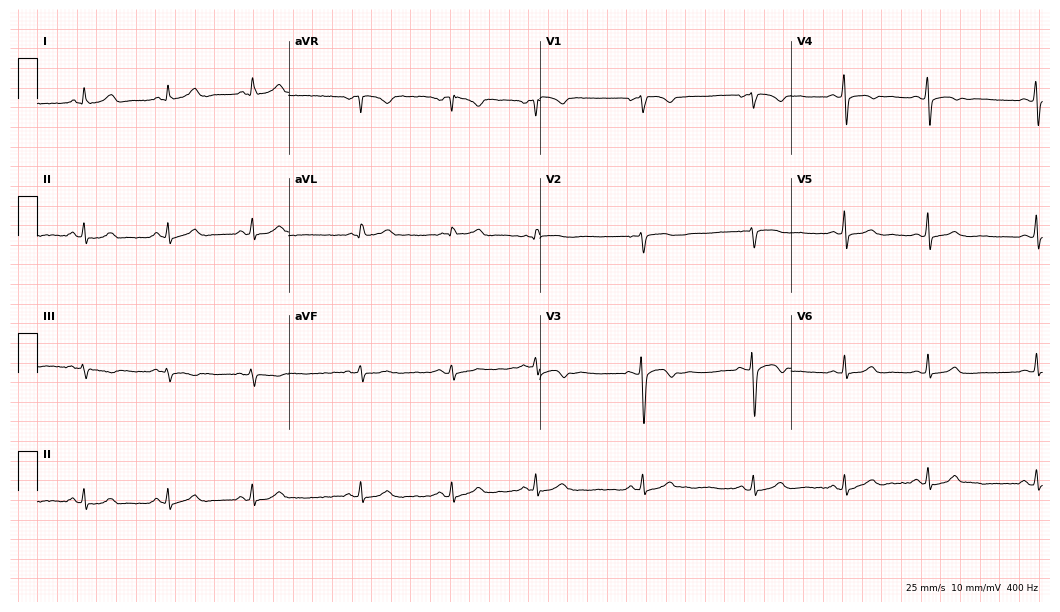
Standard 12-lead ECG recorded from a 30-year-old woman. Read as a normal ECG.